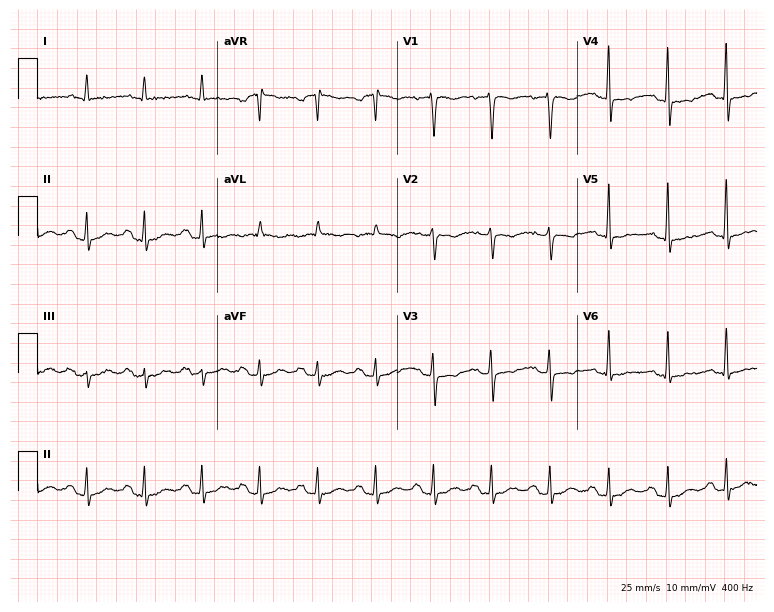
Resting 12-lead electrocardiogram. Patient: a woman, 60 years old. The tracing shows sinus tachycardia (a sinus rate of 100 beats per minute or more).